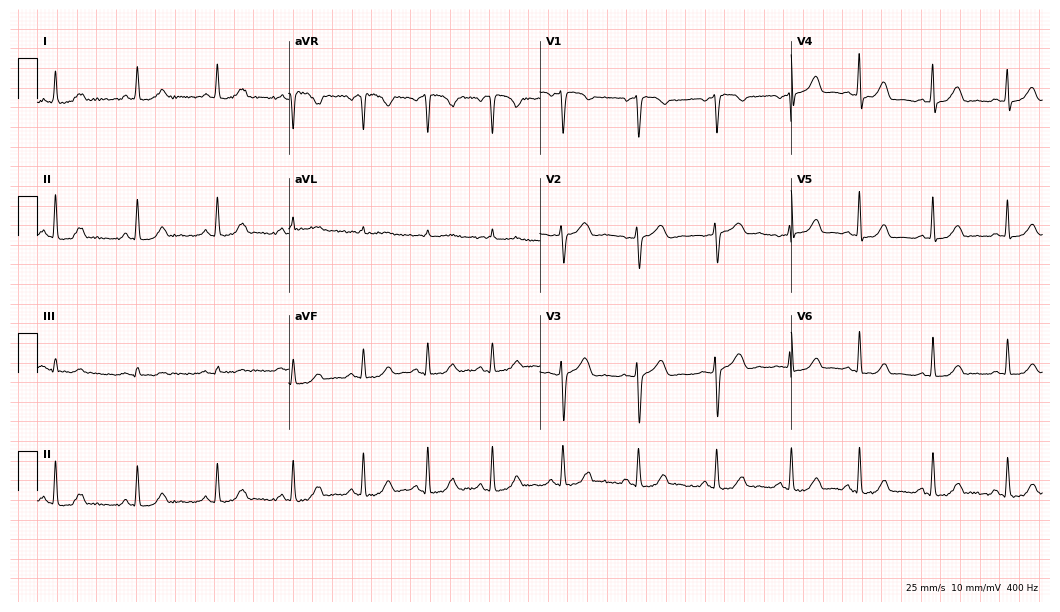
Standard 12-lead ECG recorded from a 46-year-old woman. Read as a normal ECG.